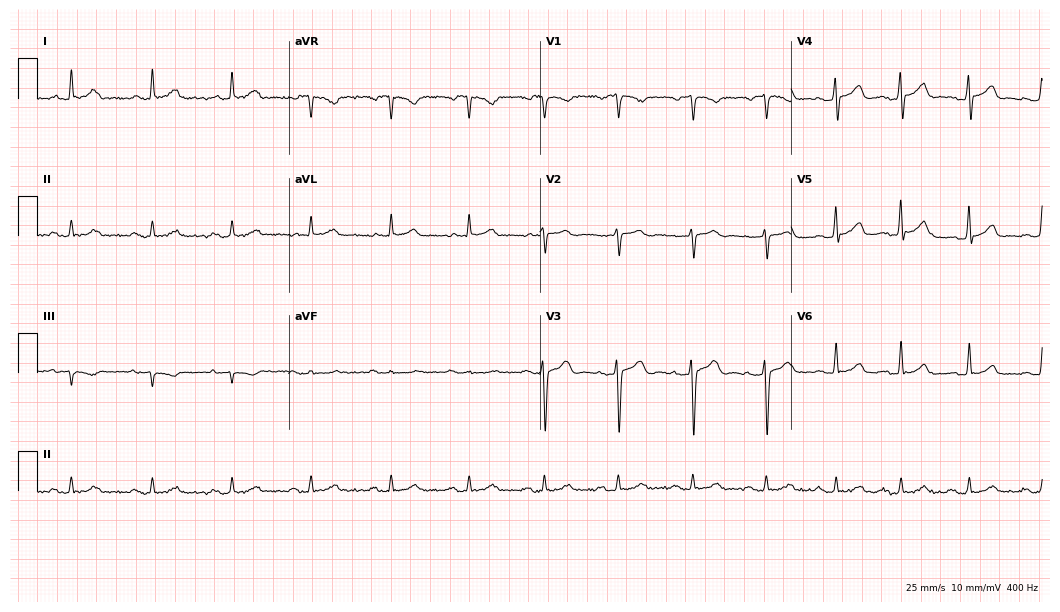
Resting 12-lead electrocardiogram (10.2-second recording at 400 Hz). Patient: a male, 39 years old. Read as a normal ECG.